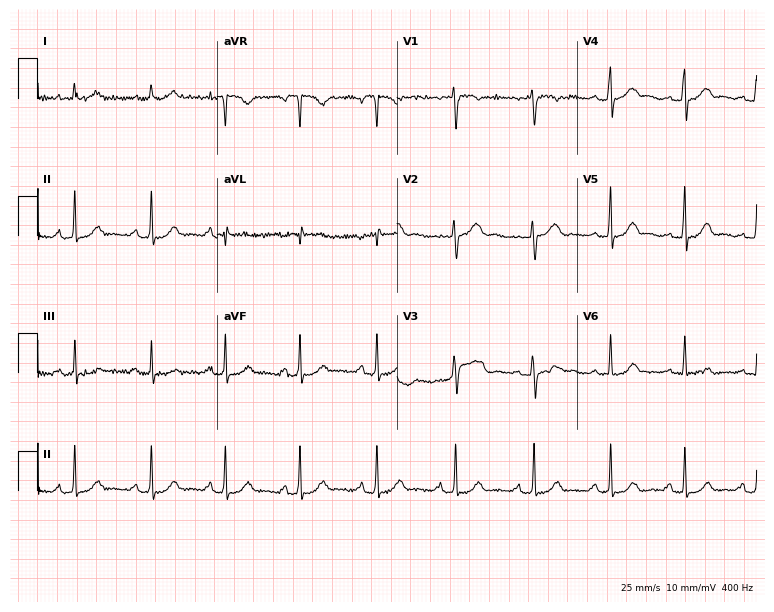
12-lead ECG from a 29-year-old female patient. No first-degree AV block, right bundle branch block, left bundle branch block, sinus bradycardia, atrial fibrillation or sinus tachycardia recorded for this tracing. Other findings, if any, are not listed.